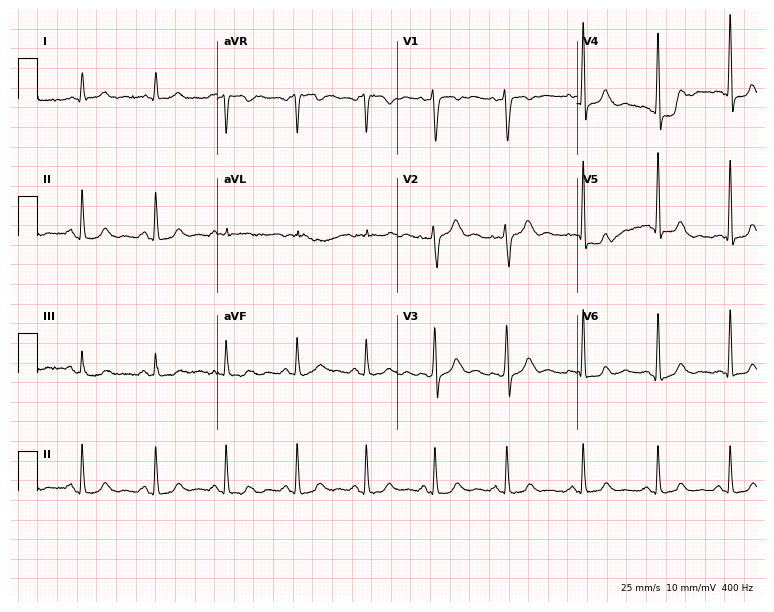
12-lead ECG from a man, 41 years old. Labelled as a normal ECG.